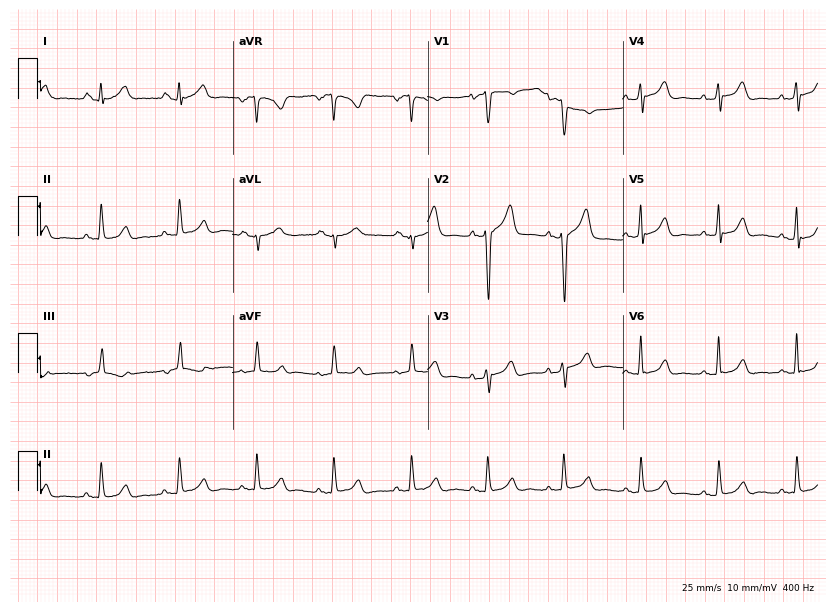
ECG (8-second recording at 400 Hz) — a male, 55 years old. Screened for six findings — first-degree AV block, right bundle branch block, left bundle branch block, sinus bradycardia, atrial fibrillation, sinus tachycardia — none is recorded. Findings outside these six are not listed.